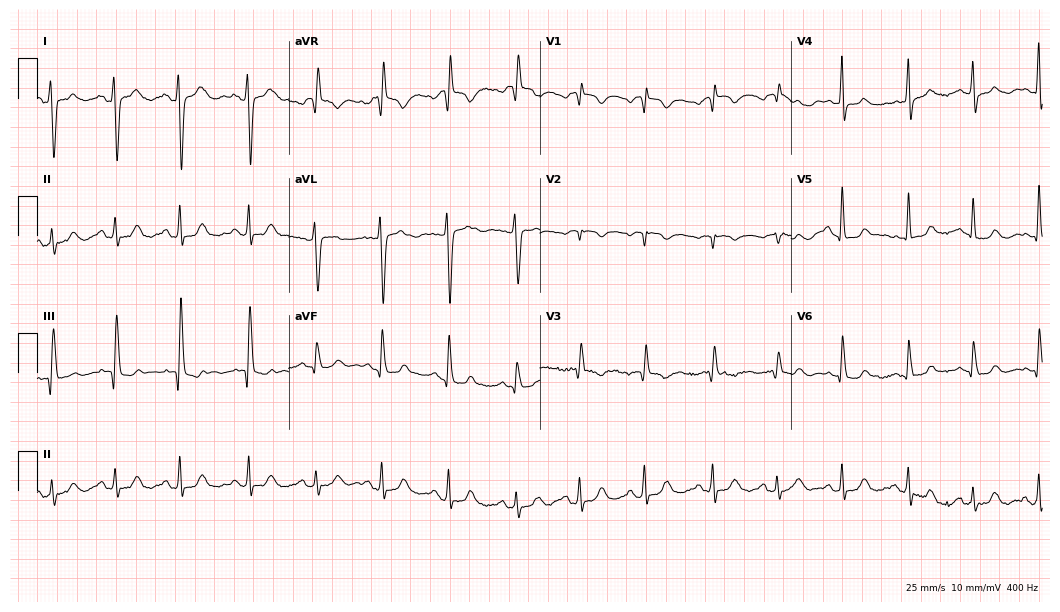
ECG — a woman, 59 years old. Screened for six findings — first-degree AV block, right bundle branch block, left bundle branch block, sinus bradycardia, atrial fibrillation, sinus tachycardia — none is recorded. Findings outside these six are not listed.